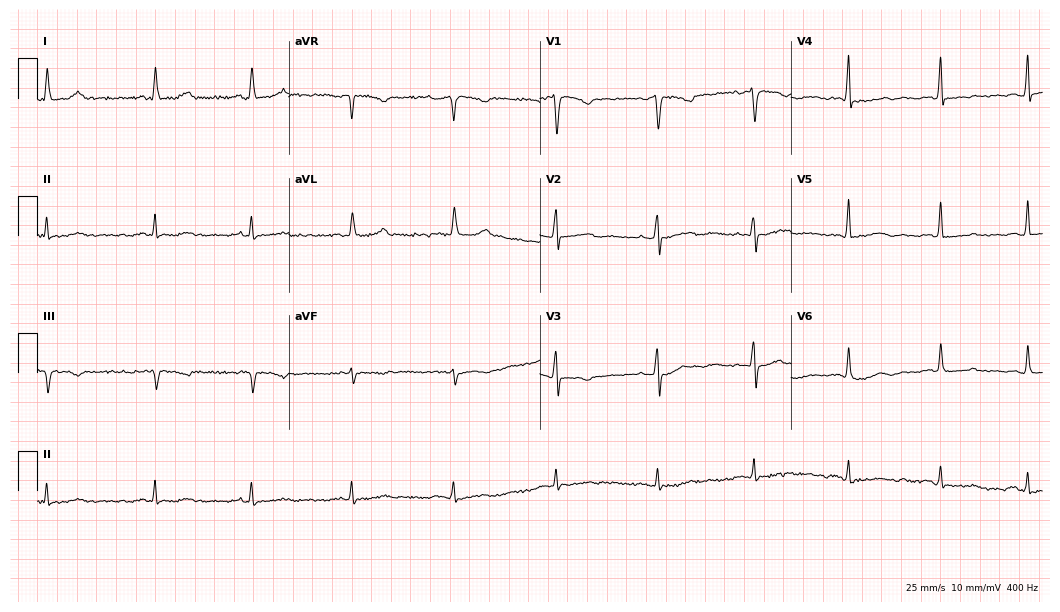
12-lead ECG from a woman, 63 years old (10.2-second recording at 400 Hz). No first-degree AV block, right bundle branch block (RBBB), left bundle branch block (LBBB), sinus bradycardia, atrial fibrillation (AF) or sinus tachycardia recorded for this tracing. Only these six findings were labelled.